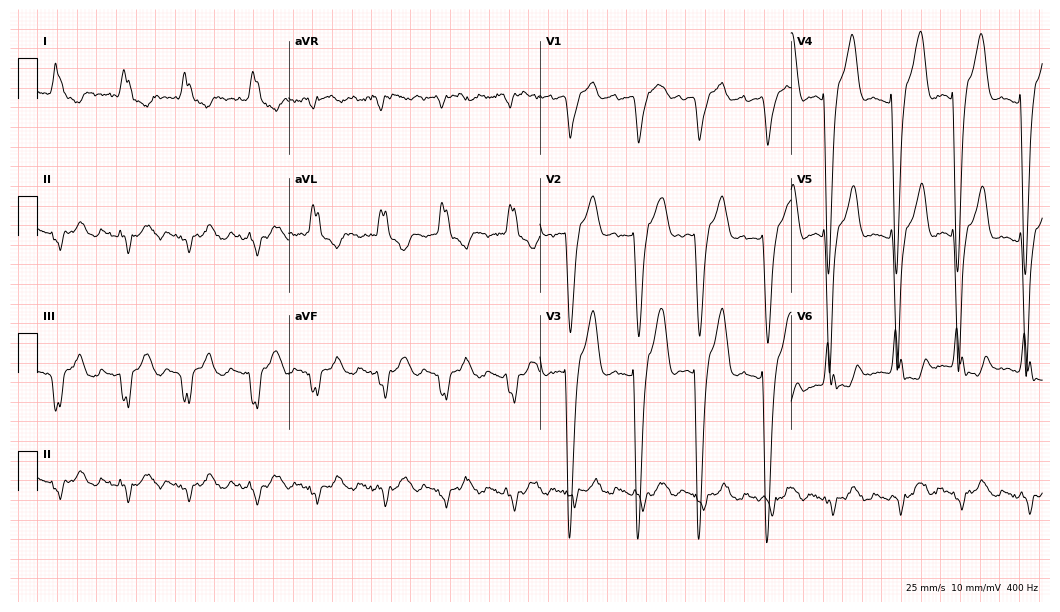
12-lead ECG from an 85-year-old man. Findings include left bundle branch block.